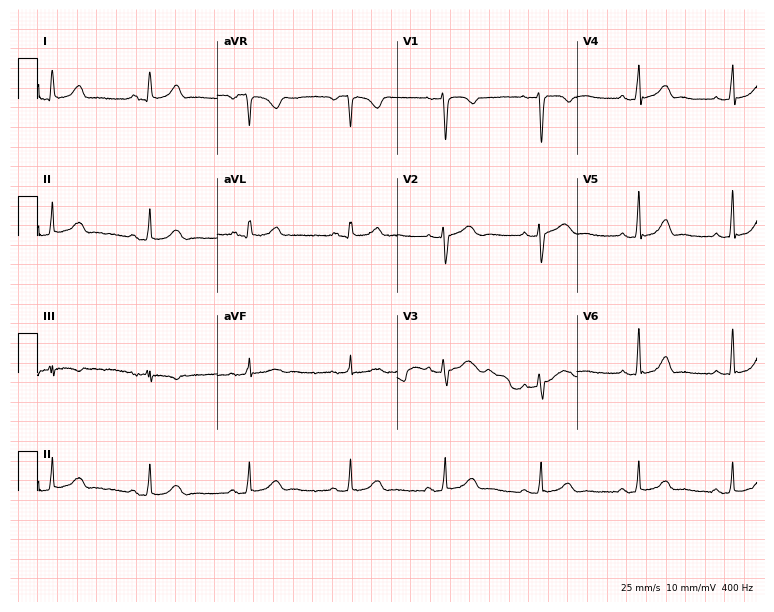
ECG (7.3-second recording at 400 Hz) — a 40-year-old female patient. Screened for six findings — first-degree AV block, right bundle branch block (RBBB), left bundle branch block (LBBB), sinus bradycardia, atrial fibrillation (AF), sinus tachycardia — none is recorded. Only these six findings were labelled.